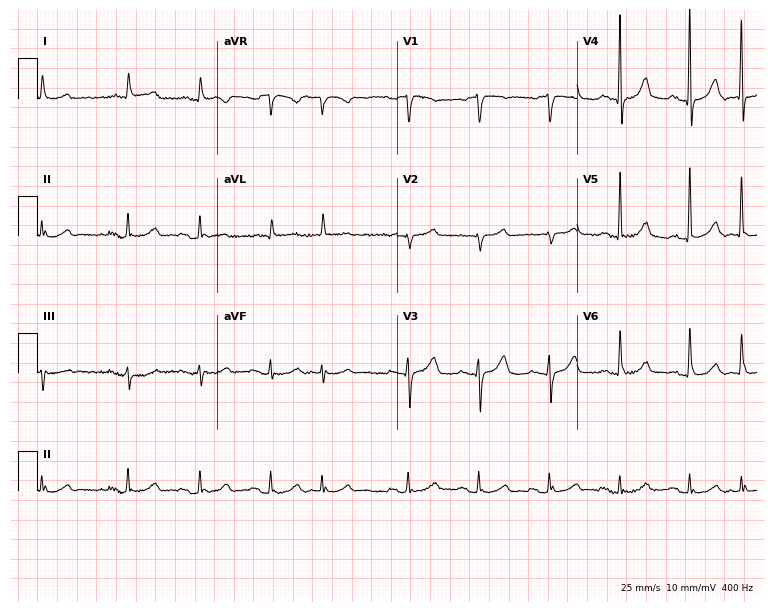
Resting 12-lead electrocardiogram. Patient: a woman, 81 years old. None of these six findings is recorded: first-degree AV block, right bundle branch block (RBBB), left bundle branch block (LBBB), sinus bradycardia, atrial fibrillation (AF), sinus tachycardia. Only these six findings were labelled.